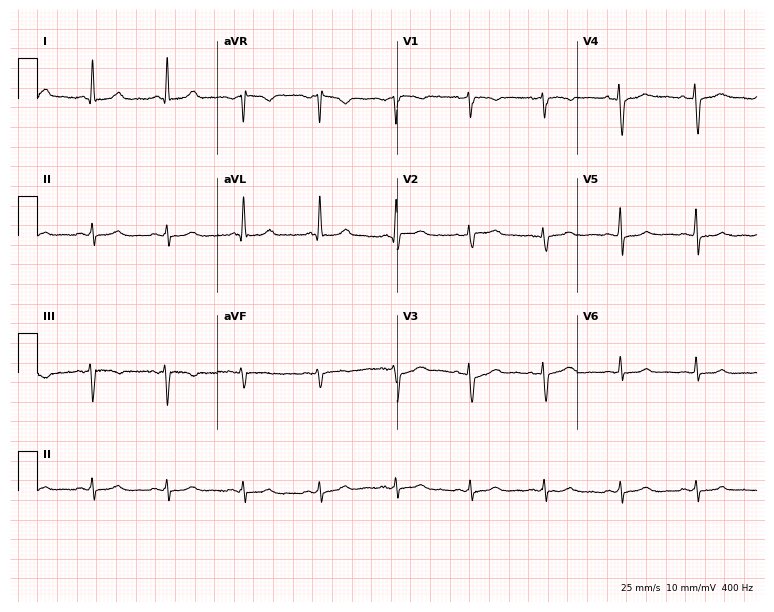
Resting 12-lead electrocardiogram. Patient: a 45-year-old woman. None of these six findings is recorded: first-degree AV block, right bundle branch block, left bundle branch block, sinus bradycardia, atrial fibrillation, sinus tachycardia. Other findings, if any, are not listed.